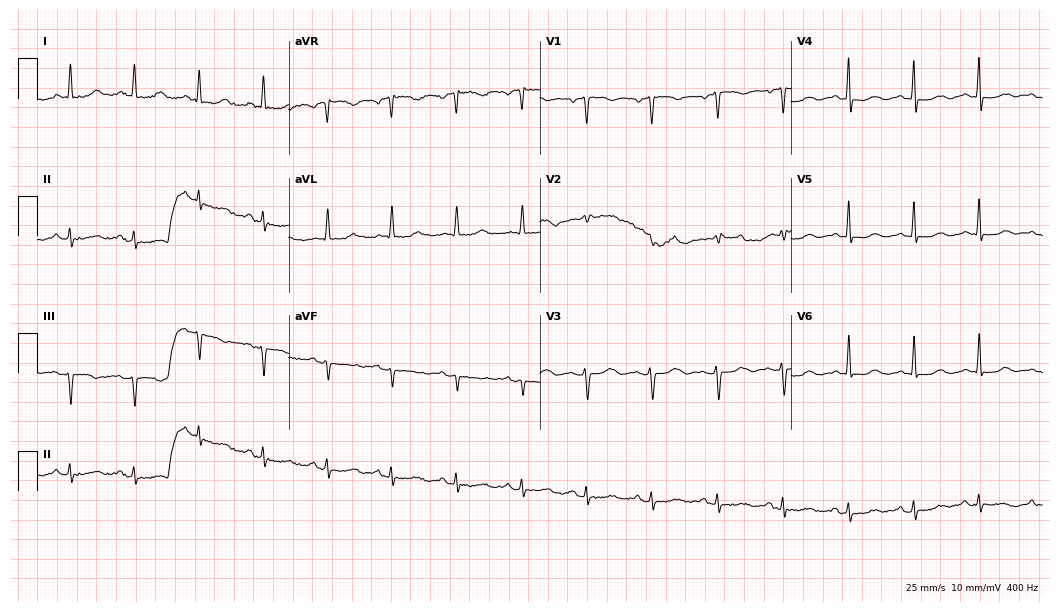
ECG (10.2-second recording at 400 Hz) — a female, 71 years old. Labelled as a normal ECG.